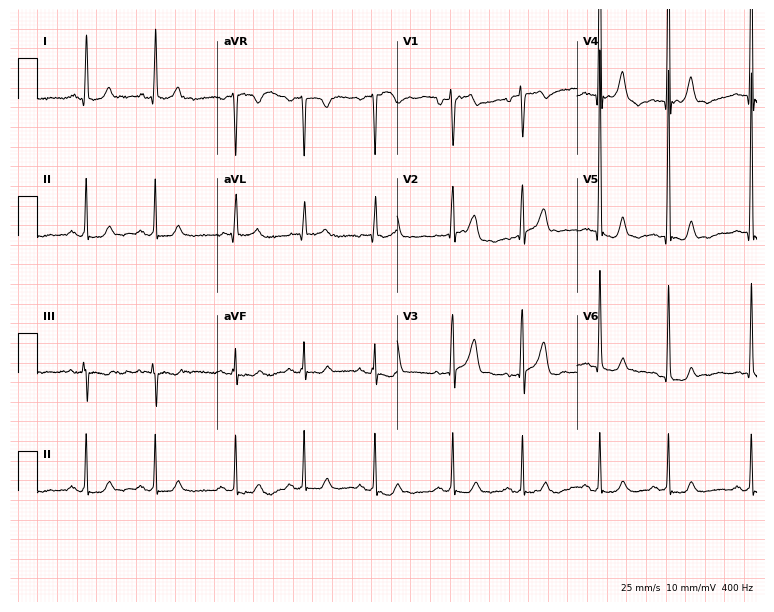
12-lead ECG from a 79-year-old female patient. No first-degree AV block, right bundle branch block (RBBB), left bundle branch block (LBBB), sinus bradycardia, atrial fibrillation (AF) or sinus tachycardia recorded for this tracing.